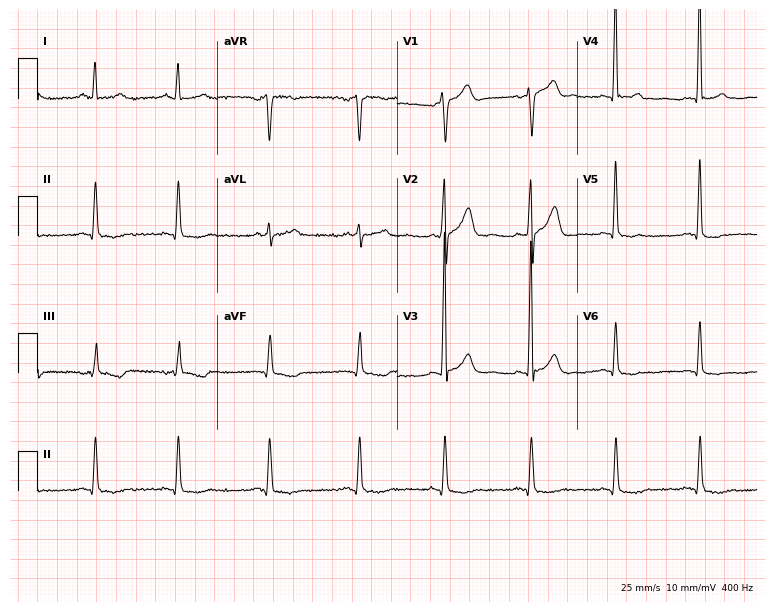
Electrocardiogram (7.3-second recording at 400 Hz), a 72-year-old male. Of the six screened findings (first-degree AV block, right bundle branch block (RBBB), left bundle branch block (LBBB), sinus bradycardia, atrial fibrillation (AF), sinus tachycardia), none is recorded. Findings outside these six are not listed.